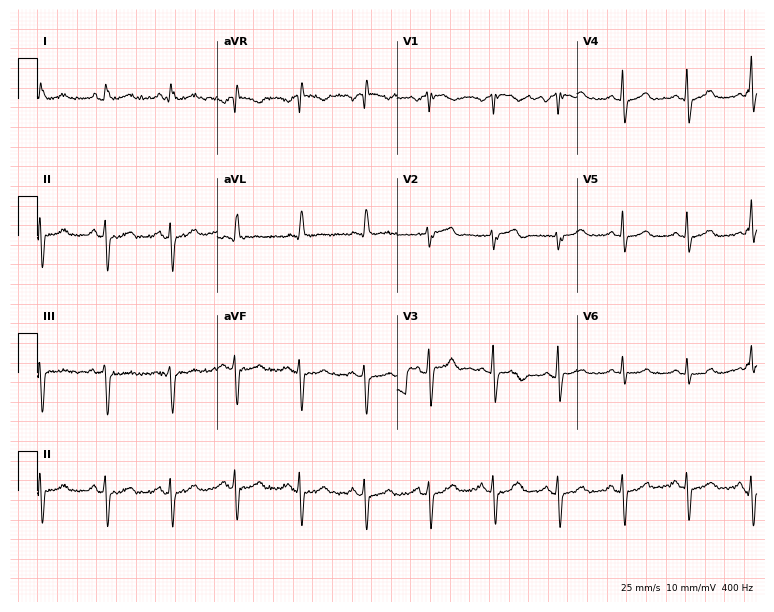
Electrocardiogram, a male patient, 80 years old. Overall reading on record: normal ECG.